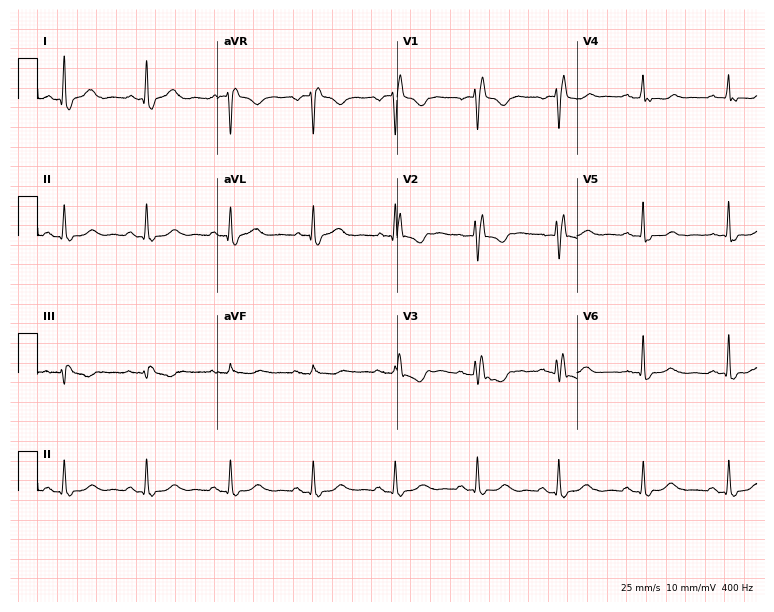
Resting 12-lead electrocardiogram (7.3-second recording at 400 Hz). Patient: a female, 52 years old. The tracing shows right bundle branch block.